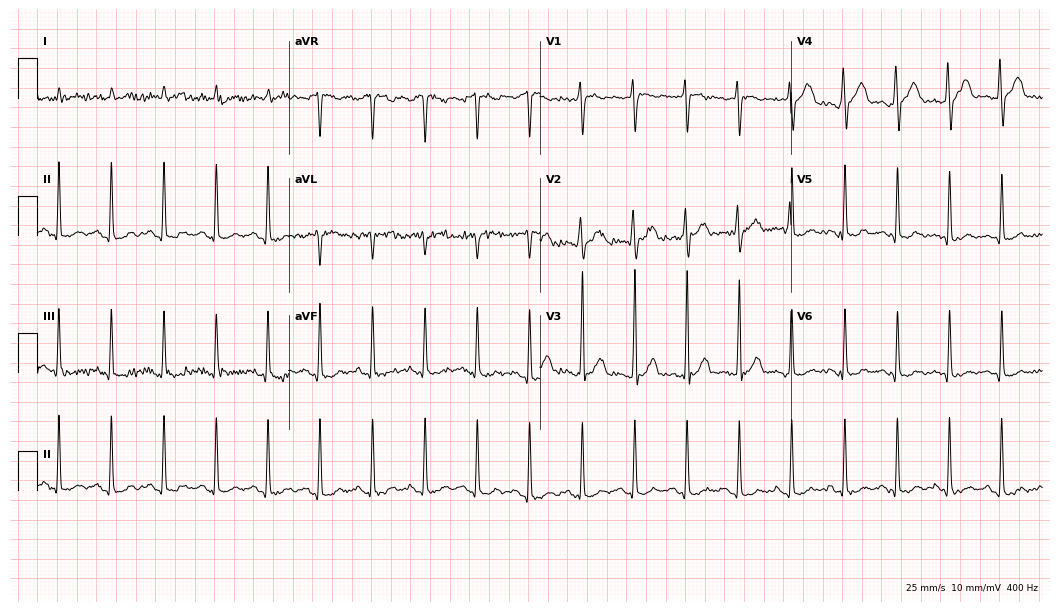
12-lead ECG from a female patient, 23 years old. Shows sinus tachycardia (a sinus rate of 100 beats per minute or more).